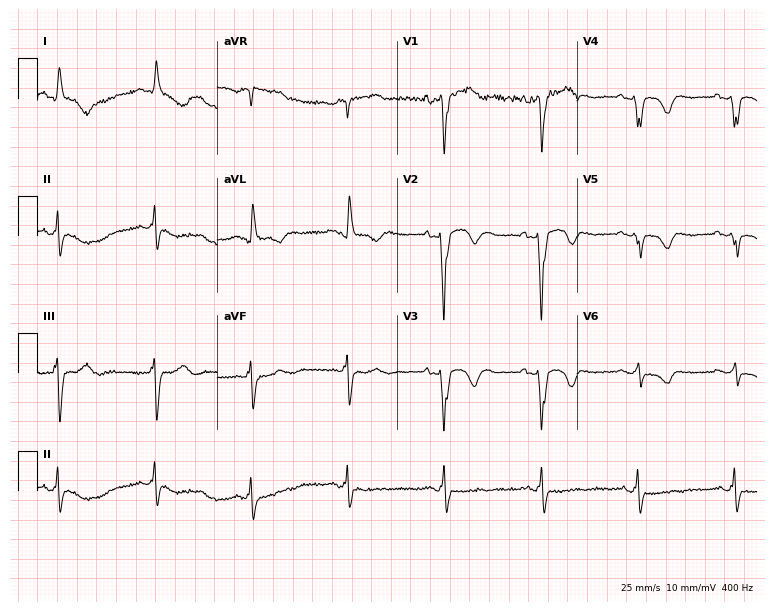
12-lead ECG (7.3-second recording at 400 Hz) from a 65-year-old male. Screened for six findings — first-degree AV block, right bundle branch block, left bundle branch block, sinus bradycardia, atrial fibrillation, sinus tachycardia — none is recorded. Other findings, if any, are not listed.